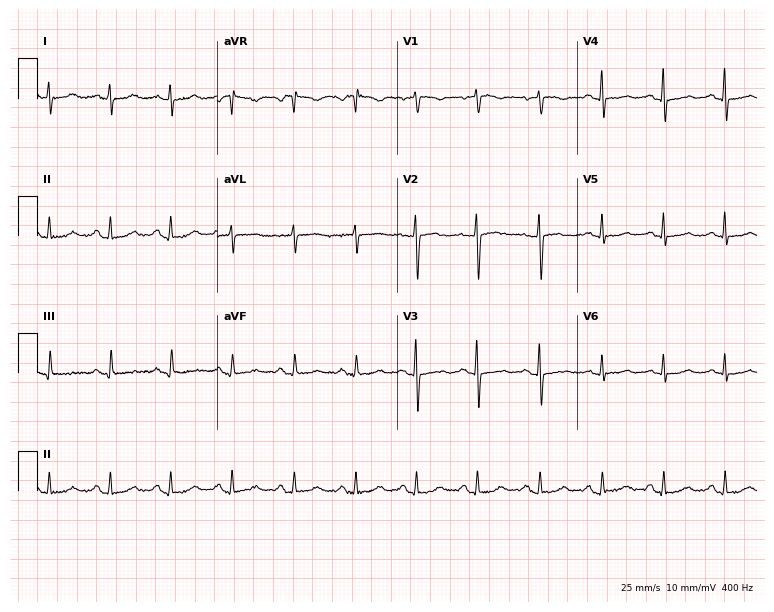
Standard 12-lead ECG recorded from a woman, 63 years old. None of these six findings is recorded: first-degree AV block, right bundle branch block, left bundle branch block, sinus bradycardia, atrial fibrillation, sinus tachycardia. Other findings, if any, are not listed.